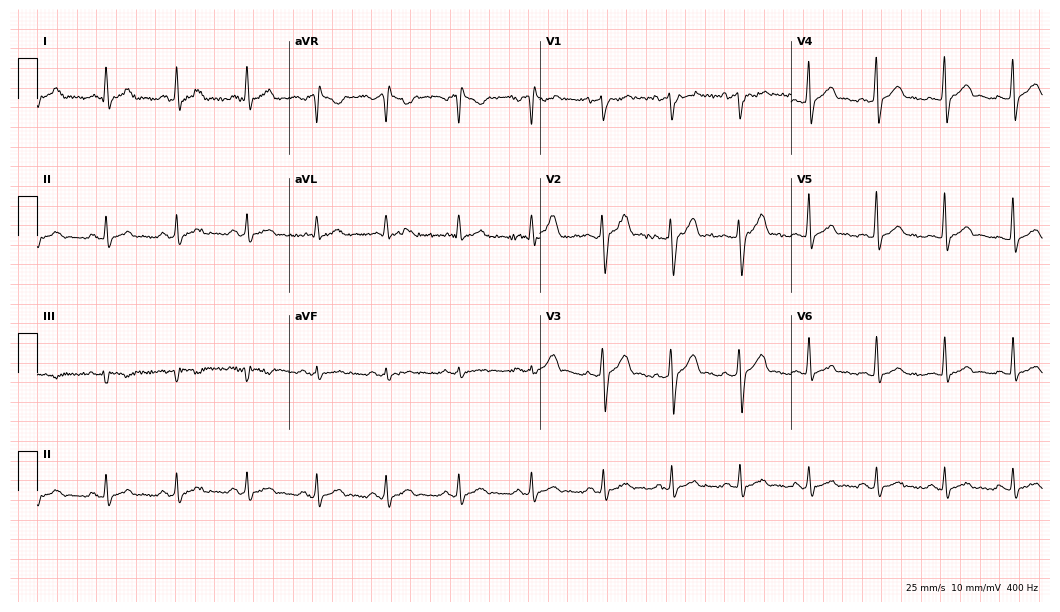
ECG — a 34-year-old man. Labelled as a normal ECG.